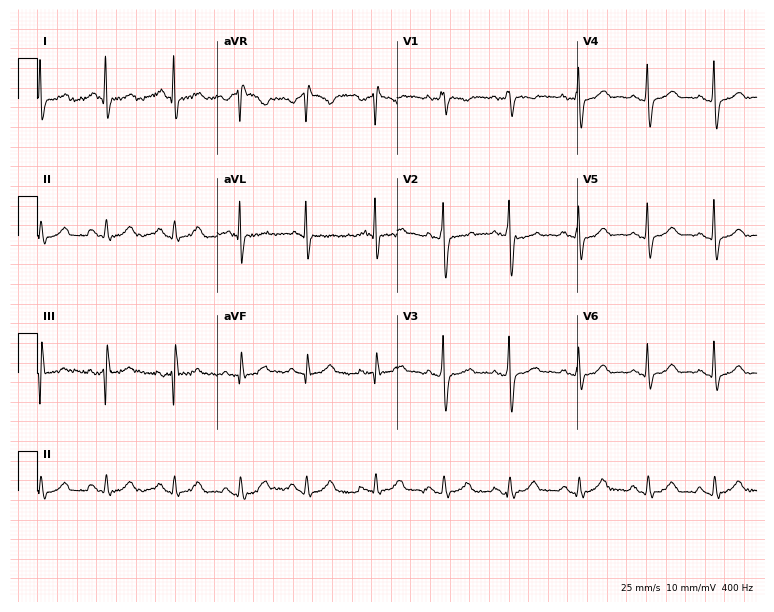
Electrocardiogram (7.3-second recording at 400 Hz), a 31-year-old male patient. Overall reading on record: normal ECG.